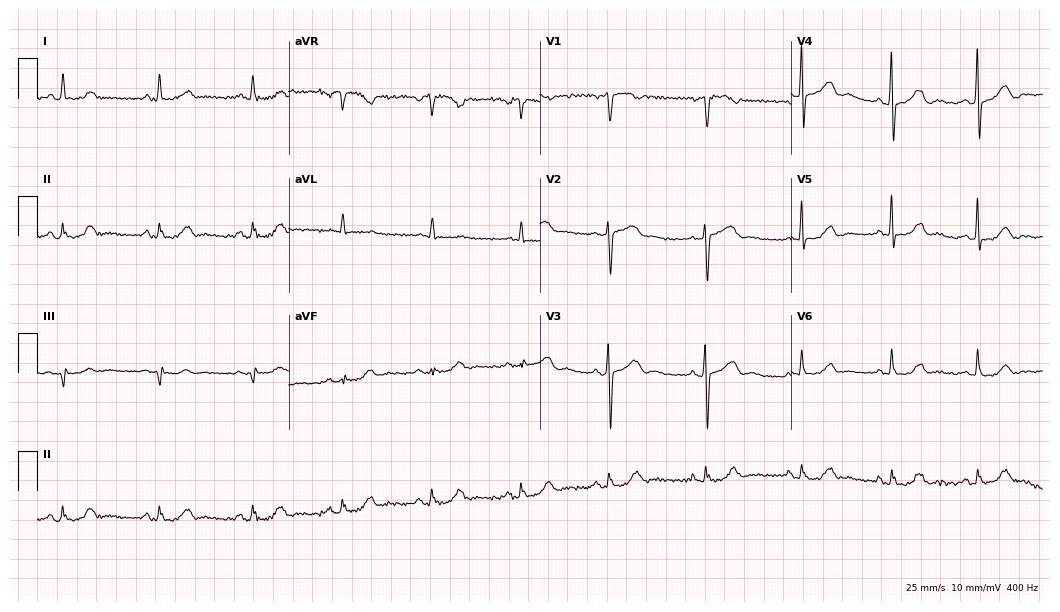
12-lead ECG from a female patient, 72 years old. Recorded interpretation: within normal limits.